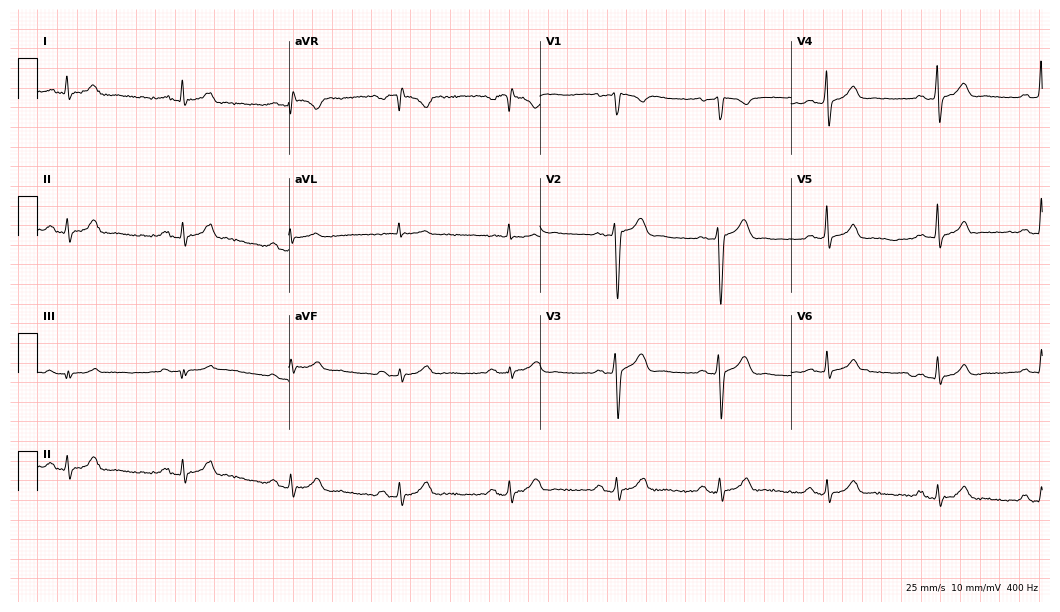
ECG — a 32-year-old man. Labelled as a normal ECG.